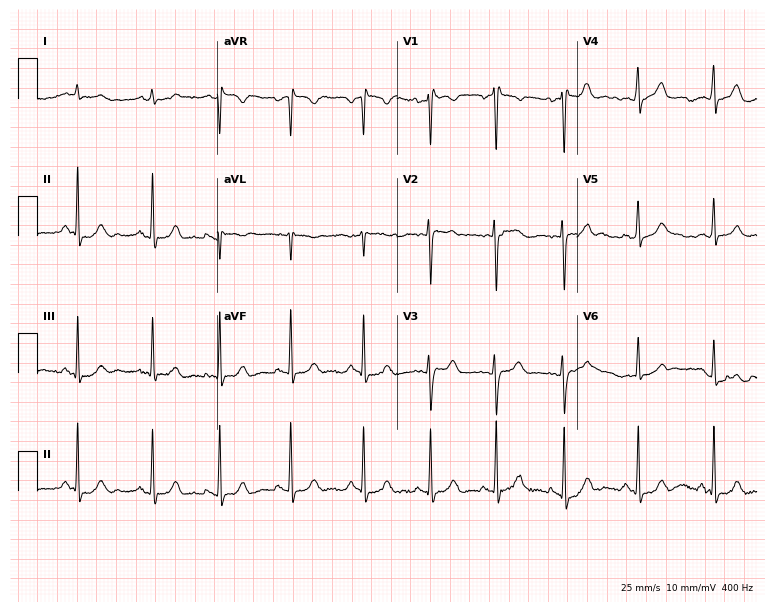
Electrocardiogram (7.3-second recording at 400 Hz), a female patient, 23 years old. Overall reading on record: normal ECG.